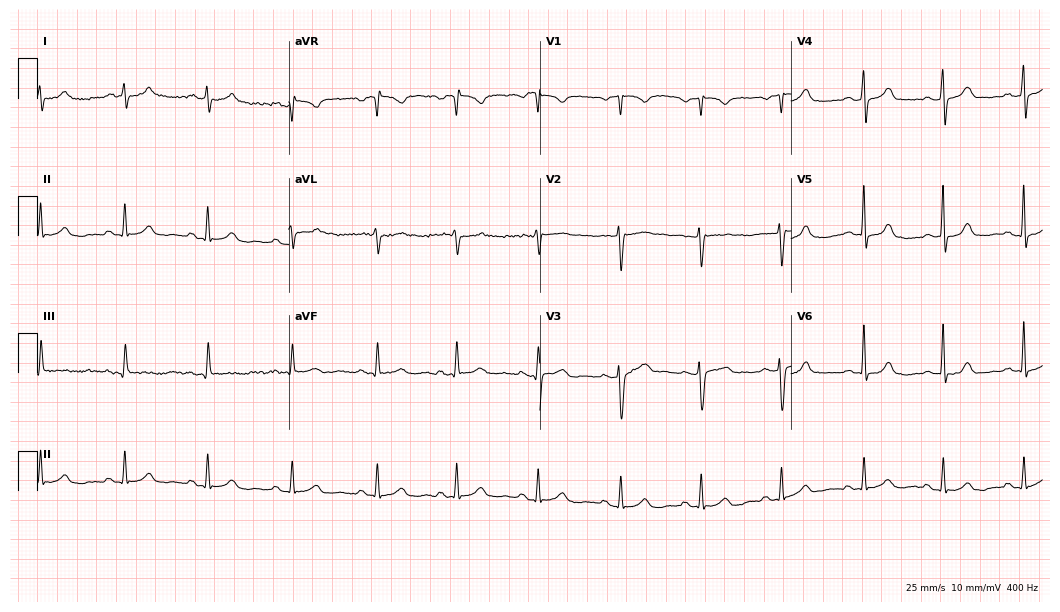
ECG (10.2-second recording at 400 Hz) — a woman, 56 years old. Labelled as a normal ECG.